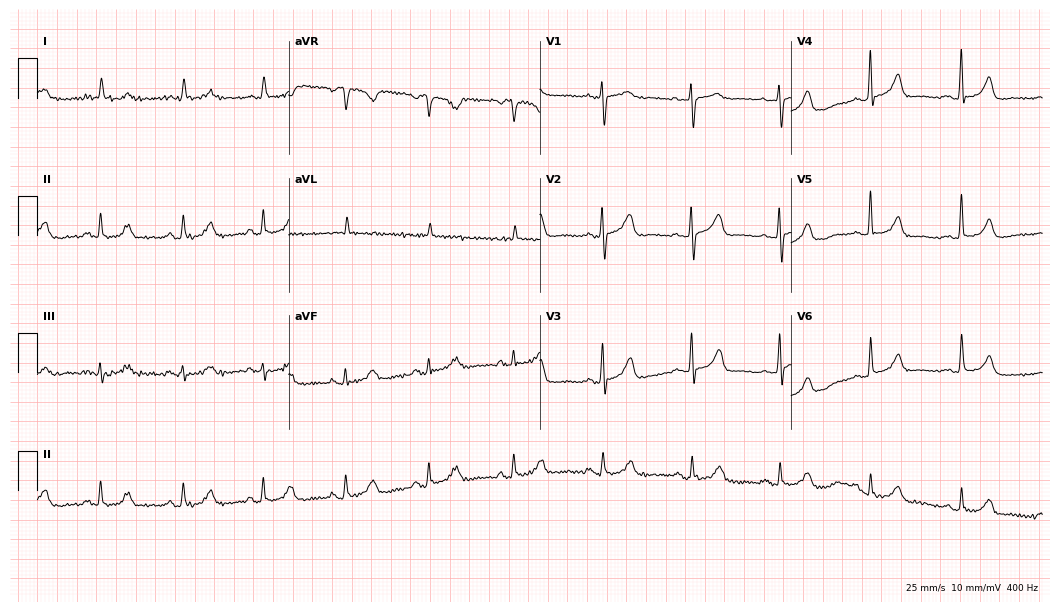
Resting 12-lead electrocardiogram (10.2-second recording at 400 Hz). Patient: a 75-year-old woman. Read as a normal ECG.